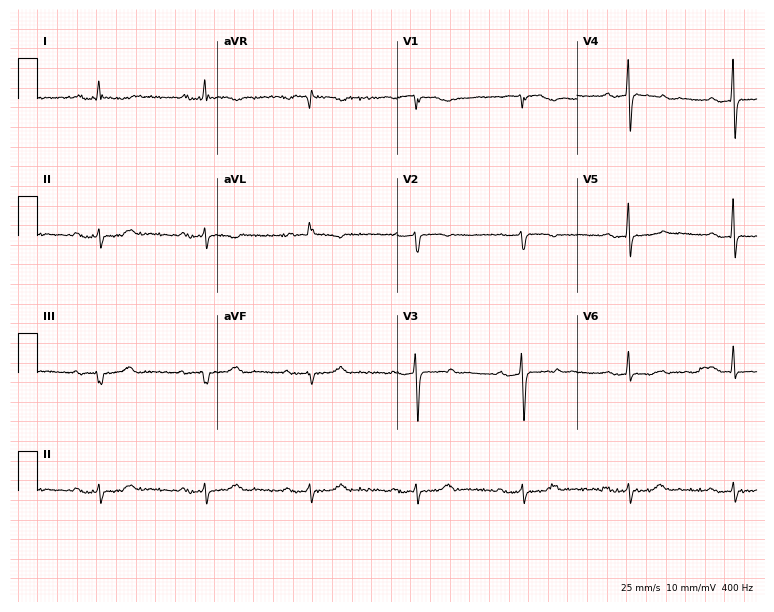
Electrocardiogram, an 86-year-old female. Interpretation includes first-degree AV block.